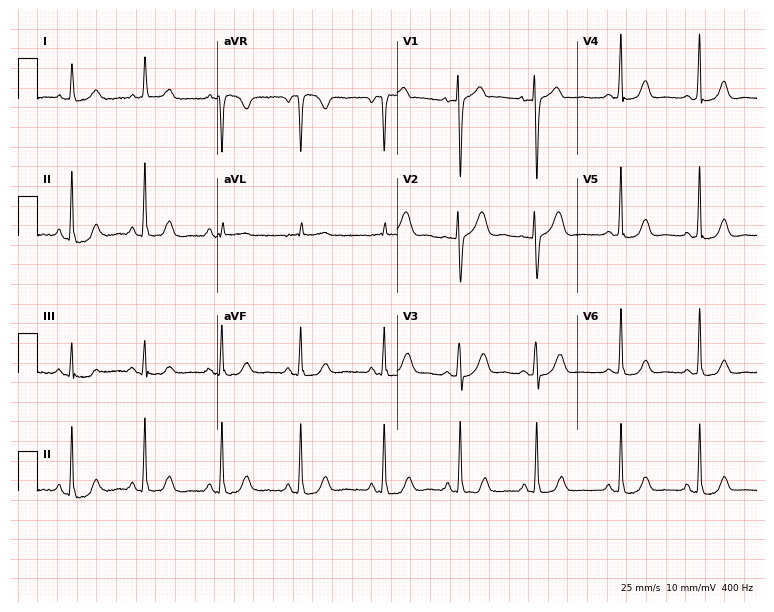
12-lead ECG from a female, 58 years old (7.3-second recording at 400 Hz). Recorded interpretation: within normal limits.